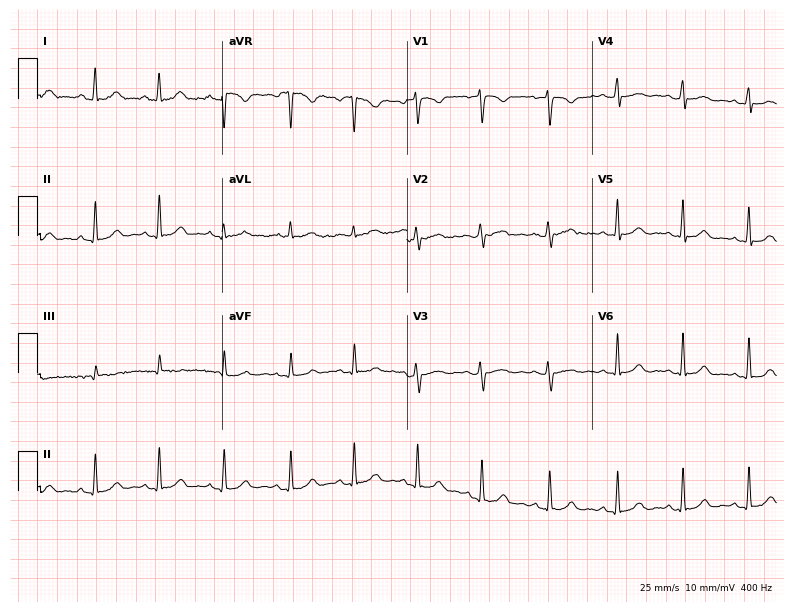
Resting 12-lead electrocardiogram. Patient: a woman, 28 years old. None of these six findings is recorded: first-degree AV block, right bundle branch block, left bundle branch block, sinus bradycardia, atrial fibrillation, sinus tachycardia. Findings outside these six are not listed.